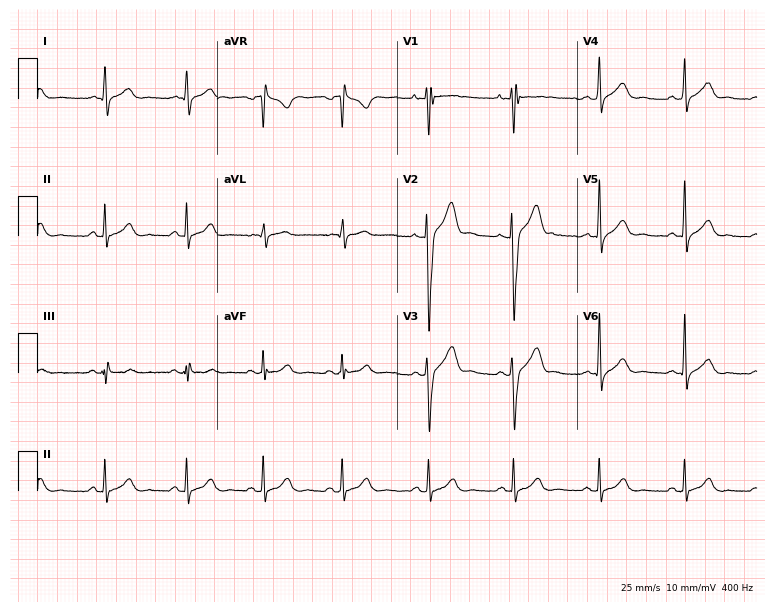
12-lead ECG from a male patient, 20 years old (7.3-second recording at 400 Hz). No first-degree AV block, right bundle branch block (RBBB), left bundle branch block (LBBB), sinus bradycardia, atrial fibrillation (AF) or sinus tachycardia recorded for this tracing. Other findings, if any, are not listed.